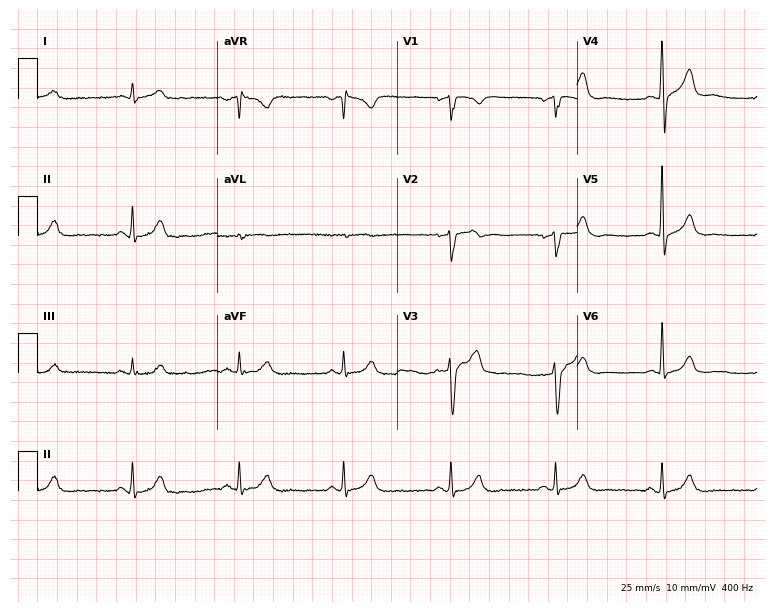
Electrocardiogram, a male patient, 65 years old. Of the six screened findings (first-degree AV block, right bundle branch block, left bundle branch block, sinus bradycardia, atrial fibrillation, sinus tachycardia), none is recorded.